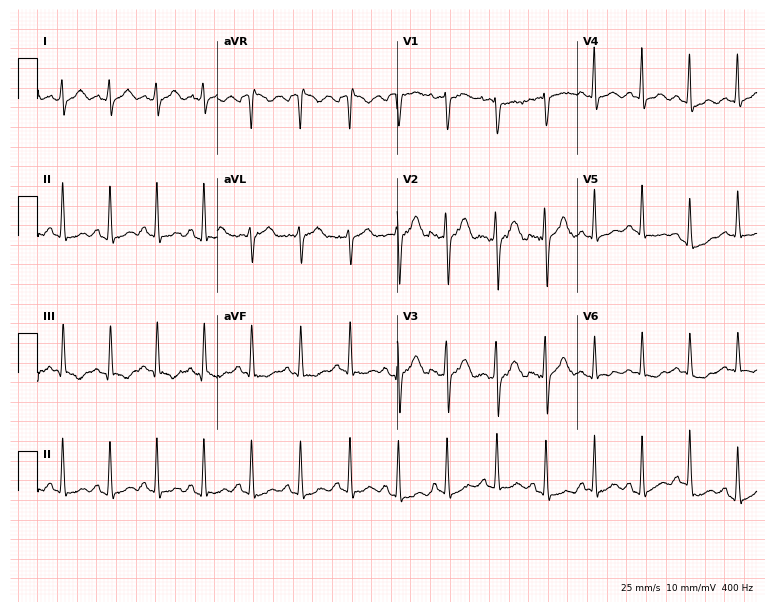
Electrocardiogram, a female, 20 years old. Interpretation includes sinus tachycardia (a sinus rate of 100 beats per minute or more).